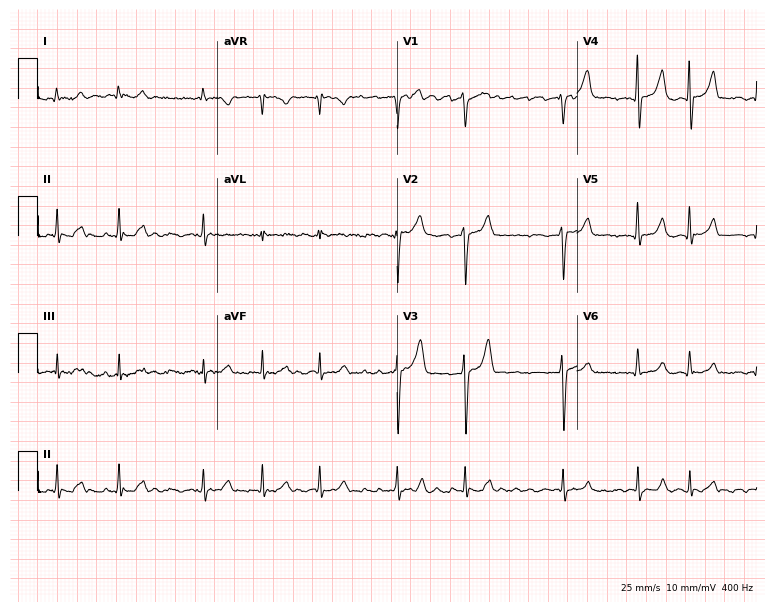
ECG (7.3-second recording at 400 Hz) — a male patient, 59 years old. Findings include atrial fibrillation.